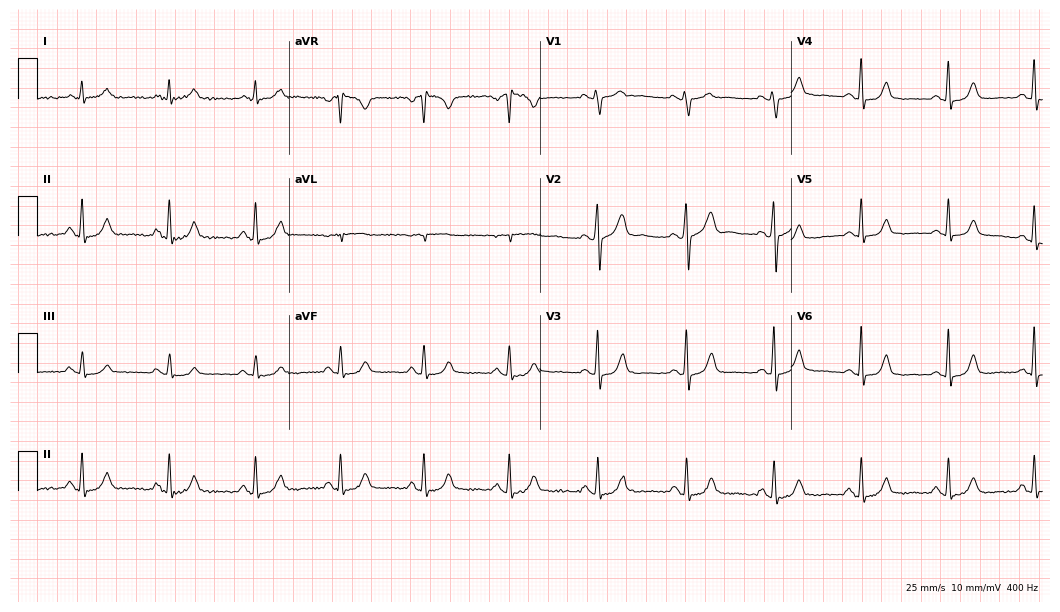
Standard 12-lead ECG recorded from a male patient, 49 years old. Read as a normal ECG.